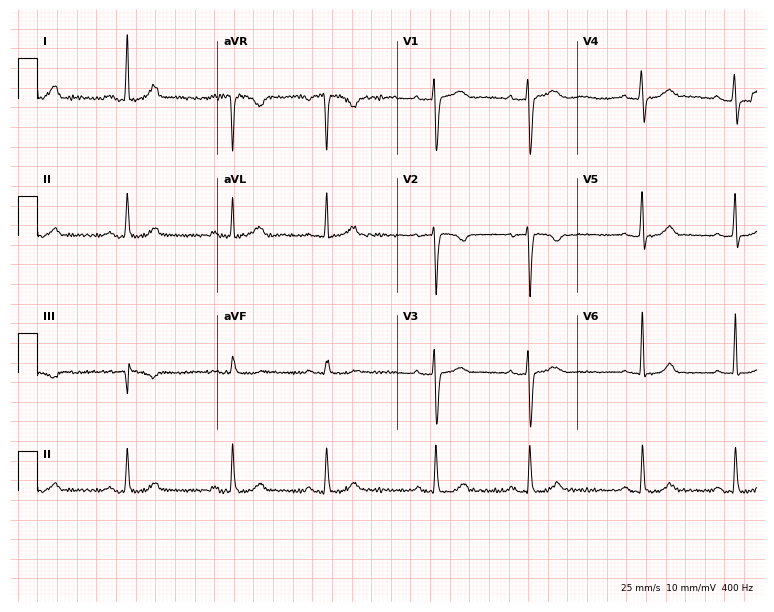
12-lead ECG from a 23-year-old female patient. No first-degree AV block, right bundle branch block, left bundle branch block, sinus bradycardia, atrial fibrillation or sinus tachycardia recorded for this tracing.